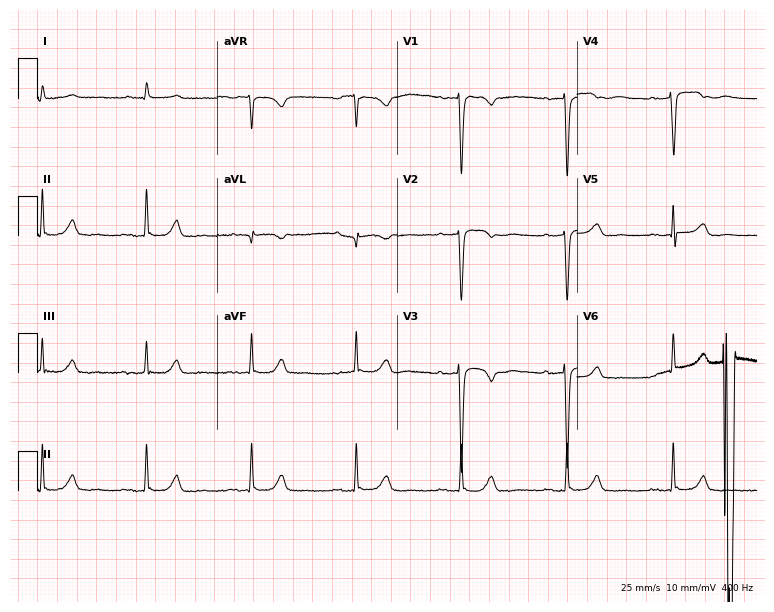
12-lead ECG (7.3-second recording at 400 Hz) from a man, 80 years old. Screened for six findings — first-degree AV block, right bundle branch block, left bundle branch block, sinus bradycardia, atrial fibrillation, sinus tachycardia — none is recorded. Other findings, if any, are not listed.